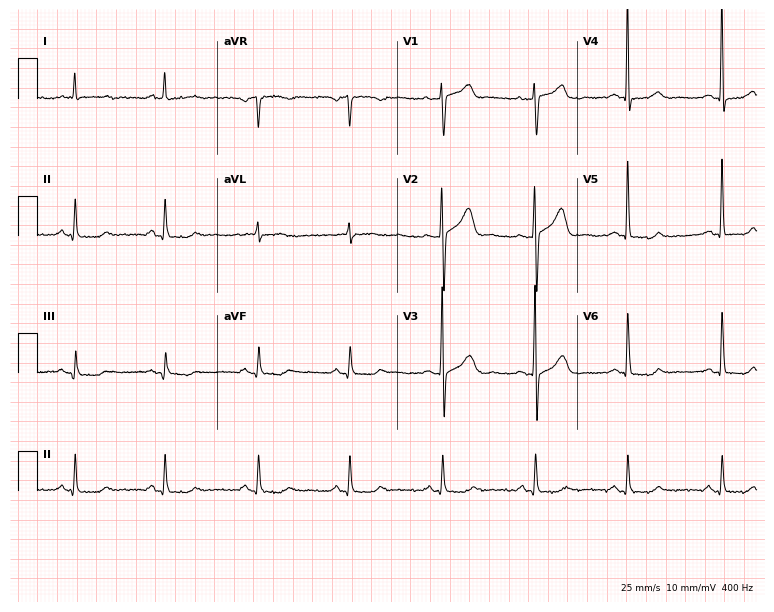
ECG — a 58-year-old woman. Labelled as a normal ECG.